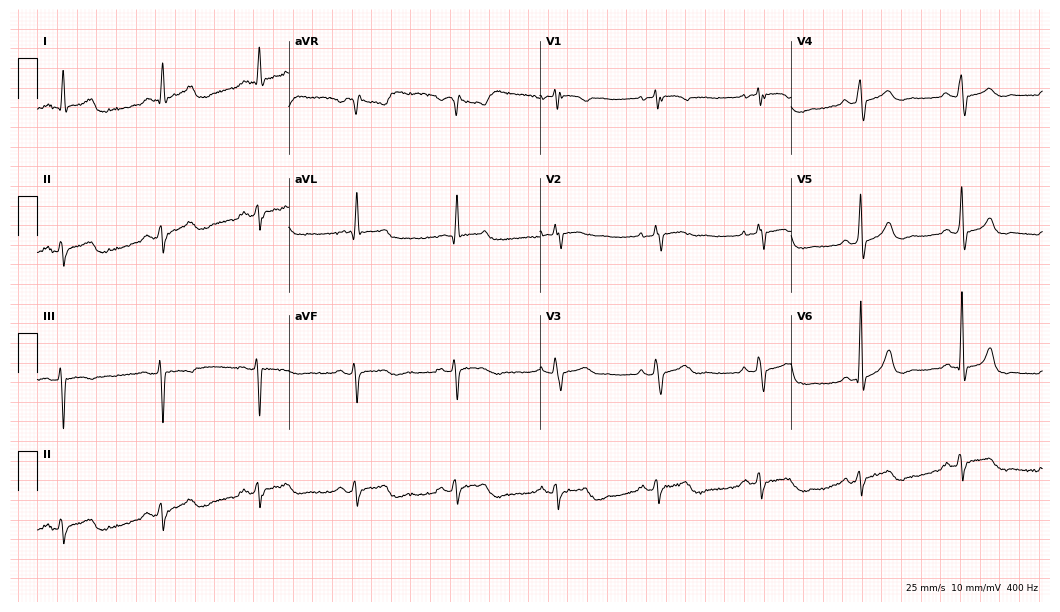
ECG (10.2-second recording at 400 Hz) — a male patient, 76 years old. Screened for six findings — first-degree AV block, right bundle branch block (RBBB), left bundle branch block (LBBB), sinus bradycardia, atrial fibrillation (AF), sinus tachycardia — none is recorded.